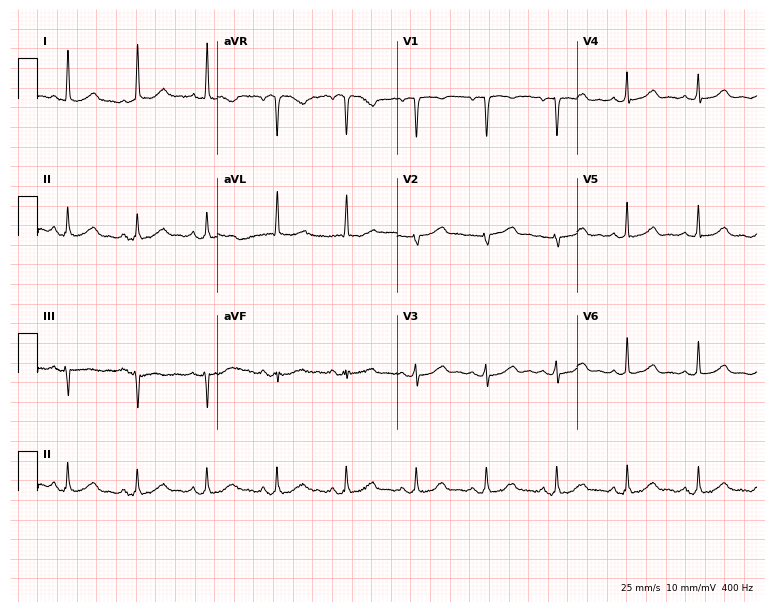
12-lead ECG (7.3-second recording at 400 Hz) from a female, 62 years old. Screened for six findings — first-degree AV block, right bundle branch block, left bundle branch block, sinus bradycardia, atrial fibrillation, sinus tachycardia — none is recorded.